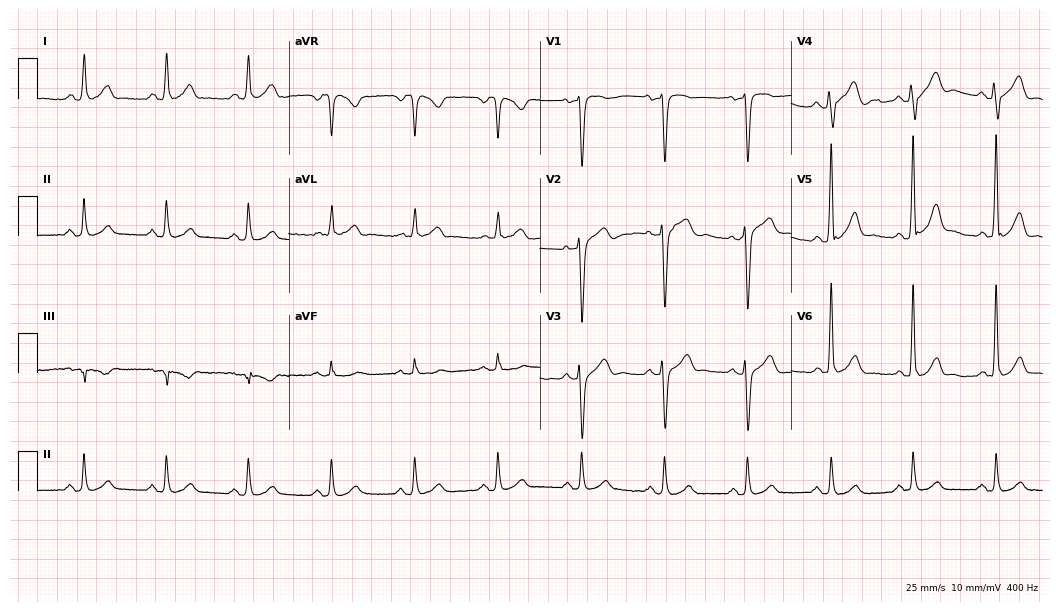
12-lead ECG from a male patient, 61 years old. Recorded interpretation: within normal limits.